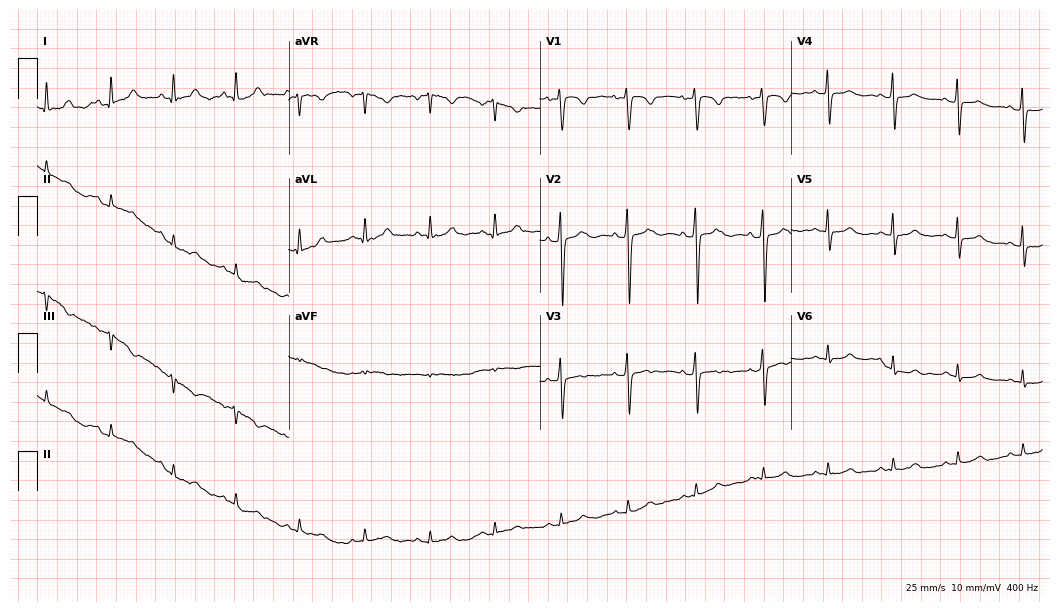
12-lead ECG from a 34-year-old female. Screened for six findings — first-degree AV block, right bundle branch block, left bundle branch block, sinus bradycardia, atrial fibrillation, sinus tachycardia — none is recorded.